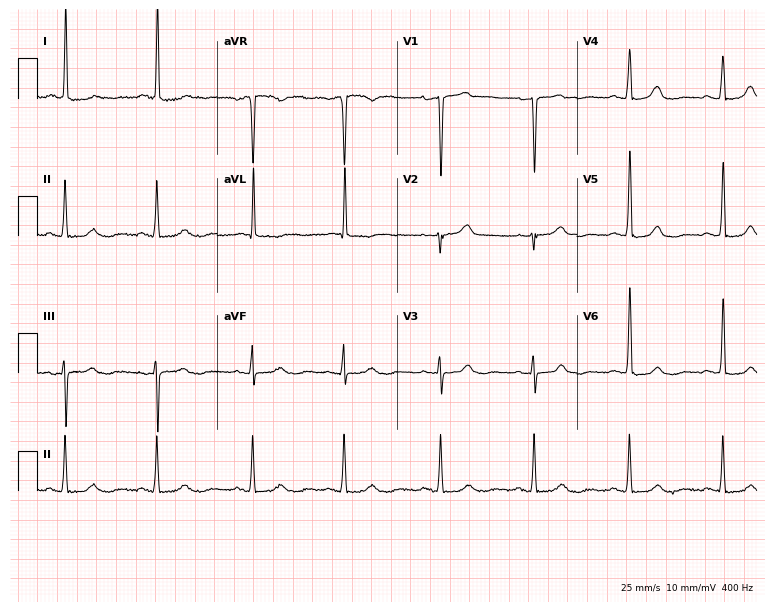
12-lead ECG from a female patient, 84 years old. Screened for six findings — first-degree AV block, right bundle branch block, left bundle branch block, sinus bradycardia, atrial fibrillation, sinus tachycardia — none is recorded. Findings outside these six are not listed.